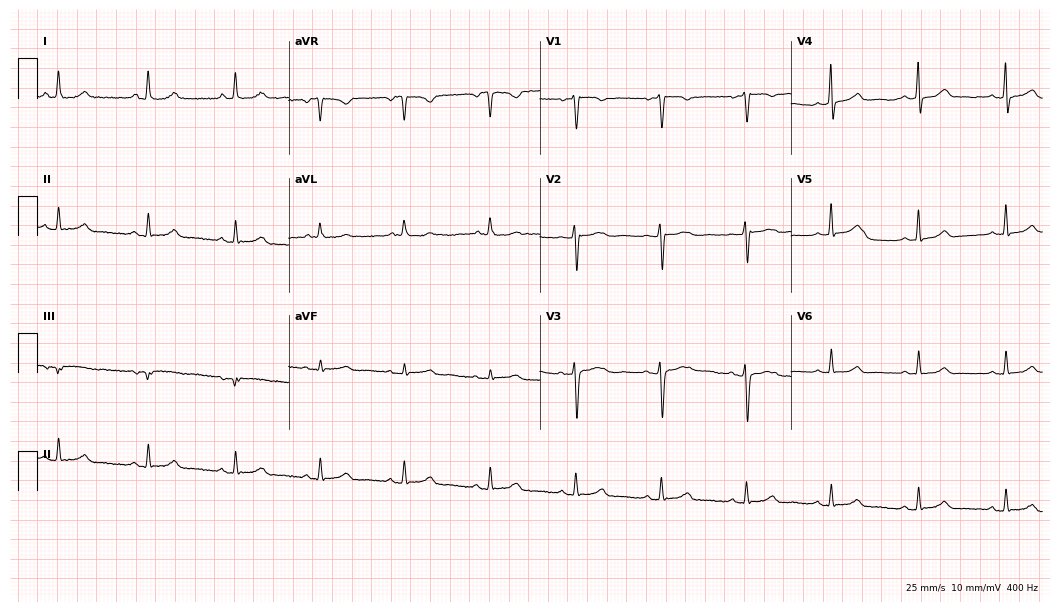
Resting 12-lead electrocardiogram (10.2-second recording at 400 Hz). Patient: a 47-year-old woman. Read as a normal ECG.